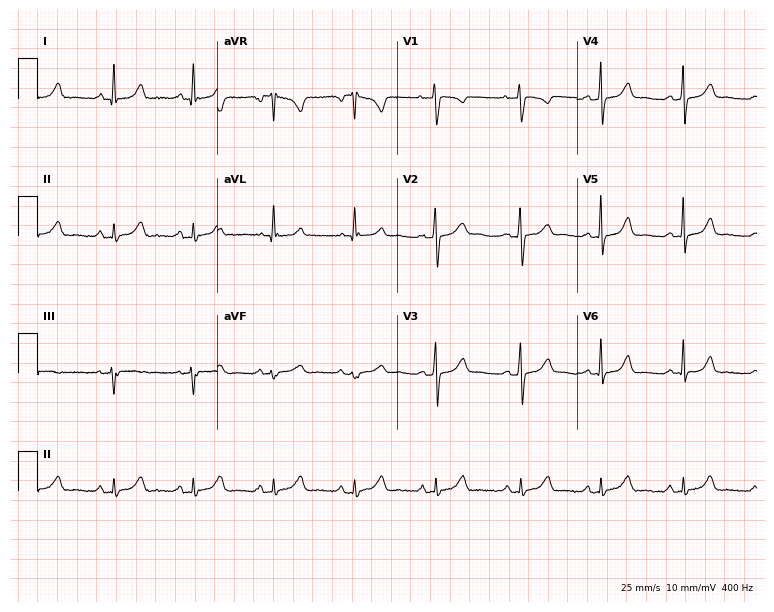
Standard 12-lead ECG recorded from a female, 26 years old (7.3-second recording at 400 Hz). Read as a normal ECG.